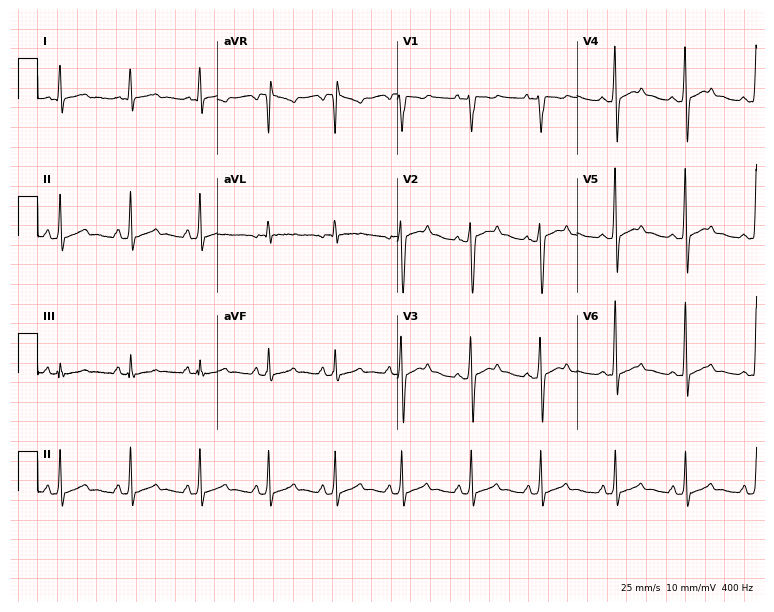
Resting 12-lead electrocardiogram (7.3-second recording at 400 Hz). Patient: a 20-year-old male. Read as a normal ECG.